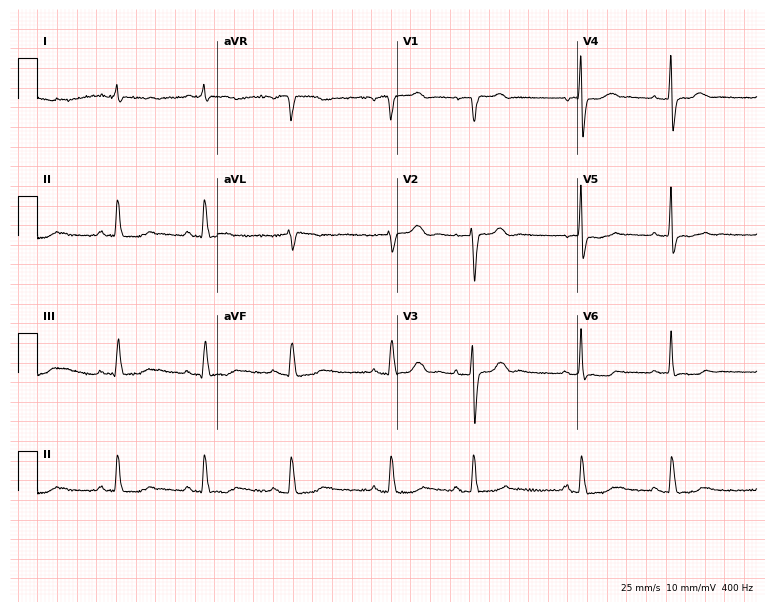
Standard 12-lead ECG recorded from a woman, 64 years old. None of these six findings is recorded: first-degree AV block, right bundle branch block (RBBB), left bundle branch block (LBBB), sinus bradycardia, atrial fibrillation (AF), sinus tachycardia. Other findings, if any, are not listed.